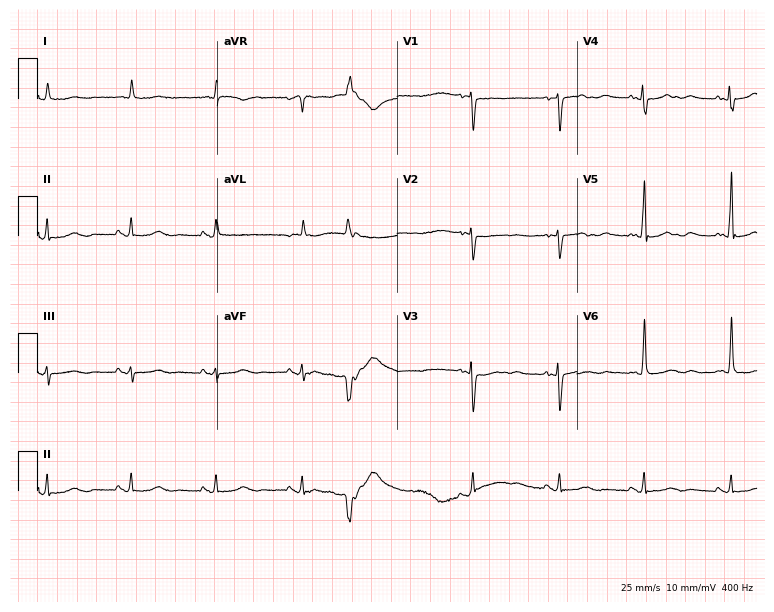
ECG — a female, 82 years old. Screened for six findings — first-degree AV block, right bundle branch block, left bundle branch block, sinus bradycardia, atrial fibrillation, sinus tachycardia — none is recorded. Other findings, if any, are not listed.